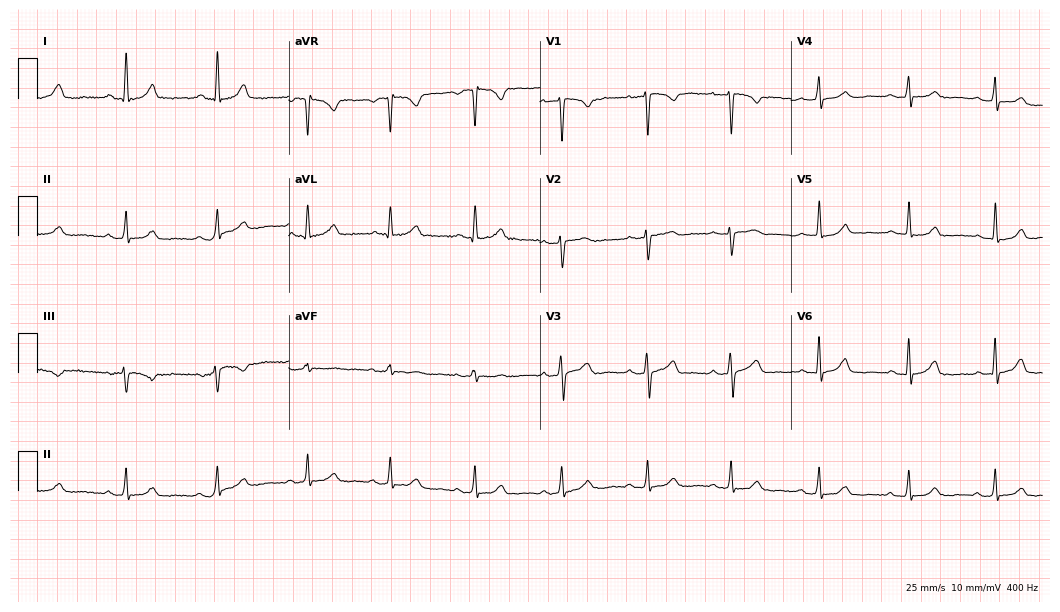
Electrocardiogram, a 46-year-old female. Of the six screened findings (first-degree AV block, right bundle branch block (RBBB), left bundle branch block (LBBB), sinus bradycardia, atrial fibrillation (AF), sinus tachycardia), none is recorded.